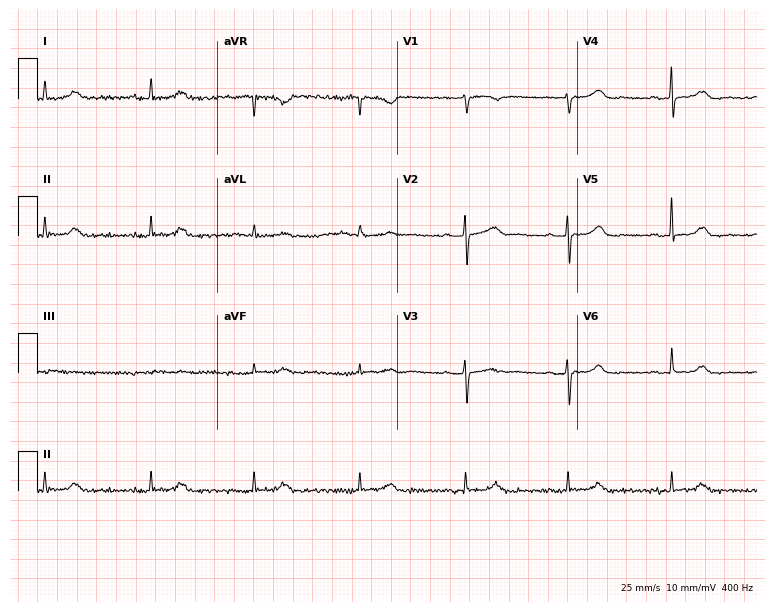
Electrocardiogram (7.3-second recording at 400 Hz), a female patient, 65 years old. Of the six screened findings (first-degree AV block, right bundle branch block, left bundle branch block, sinus bradycardia, atrial fibrillation, sinus tachycardia), none is recorded. Other findings, if any, are not listed.